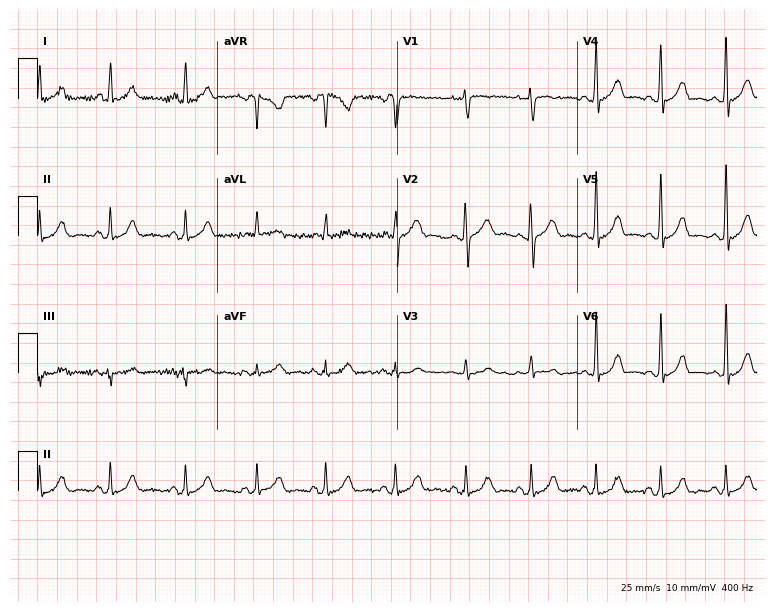
Resting 12-lead electrocardiogram. Patient: a 24-year-old female. Read as a normal ECG.